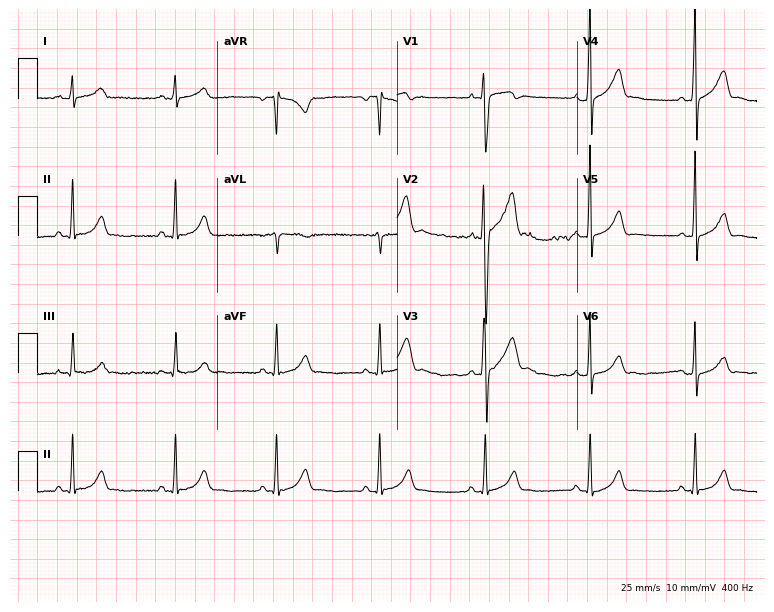
Electrocardiogram (7.3-second recording at 400 Hz), a 19-year-old male patient. Overall reading on record: normal ECG.